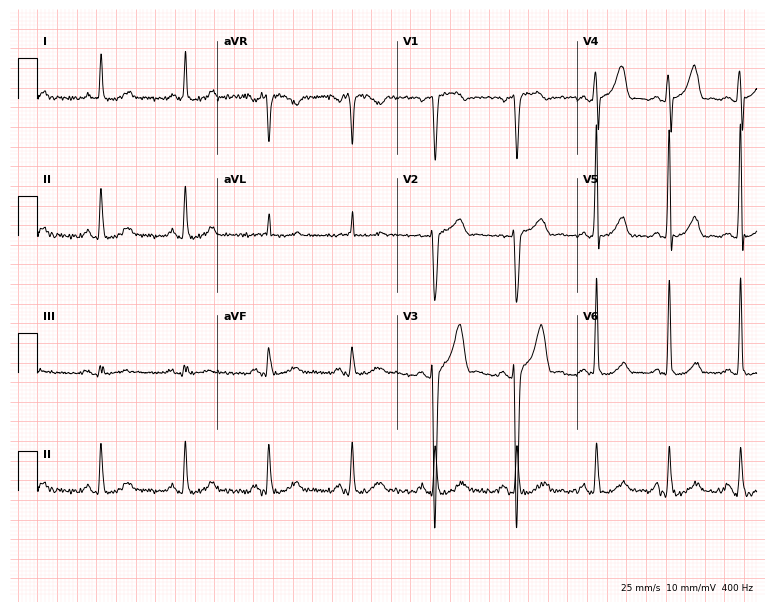
Resting 12-lead electrocardiogram (7.3-second recording at 400 Hz). Patient: a 63-year-old male. Read as a normal ECG.